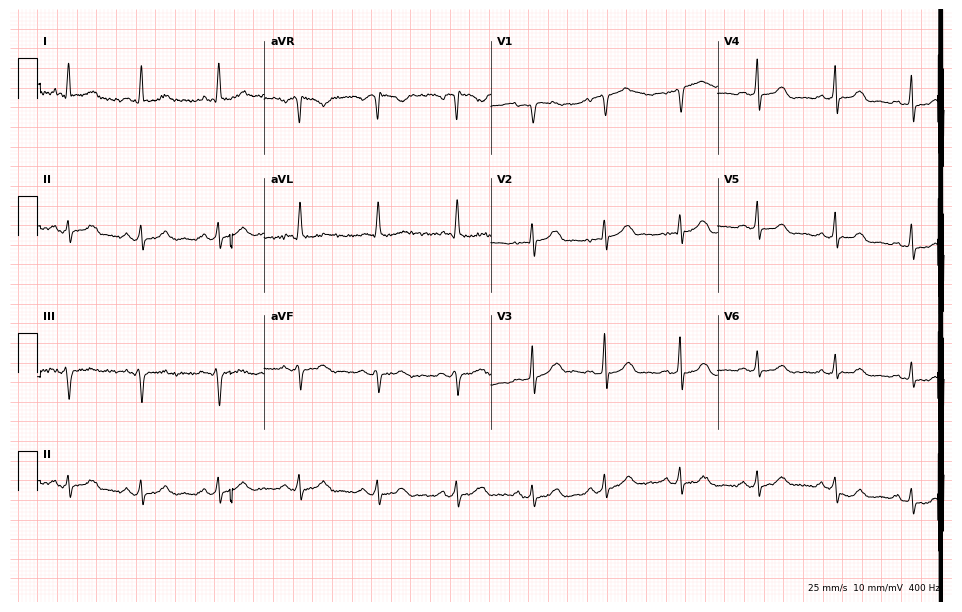
Resting 12-lead electrocardiogram (9.2-second recording at 400 Hz). Patient: a woman, 76 years old. Read as a normal ECG.